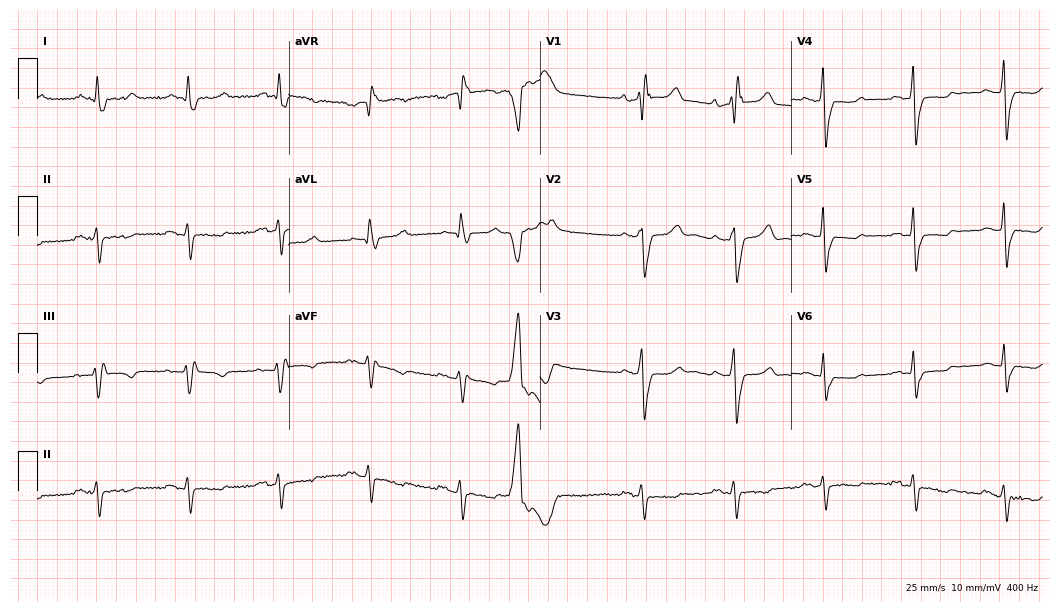
Standard 12-lead ECG recorded from a man, 78 years old. None of these six findings is recorded: first-degree AV block, right bundle branch block, left bundle branch block, sinus bradycardia, atrial fibrillation, sinus tachycardia. Other findings, if any, are not listed.